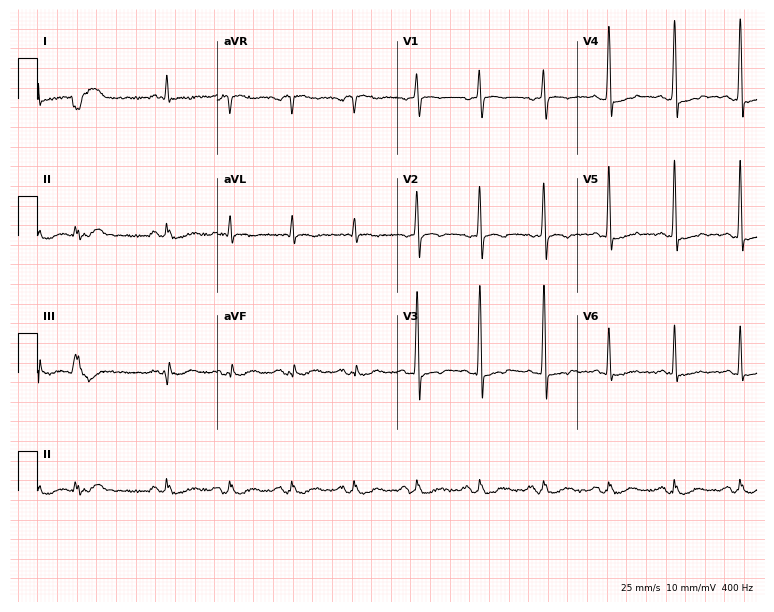
ECG — a 68-year-old man. Screened for six findings — first-degree AV block, right bundle branch block, left bundle branch block, sinus bradycardia, atrial fibrillation, sinus tachycardia — none is recorded.